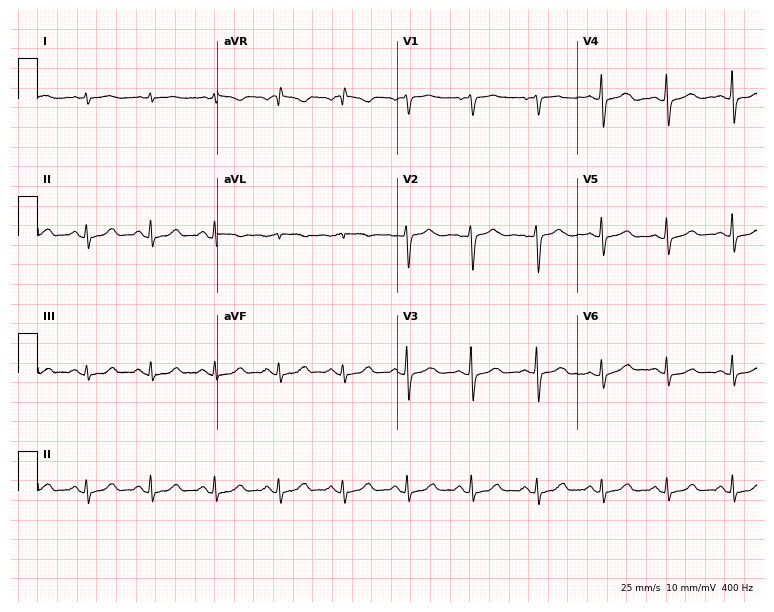
12-lead ECG from a female, 61 years old. Labelled as a normal ECG.